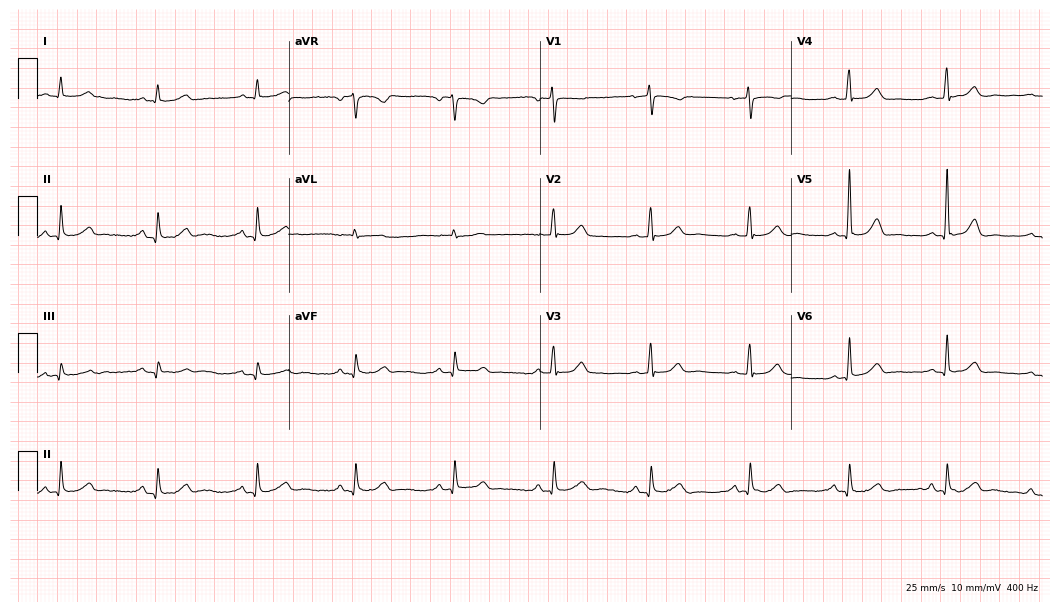
Standard 12-lead ECG recorded from an 85-year-old woman (10.2-second recording at 400 Hz). Read as a normal ECG.